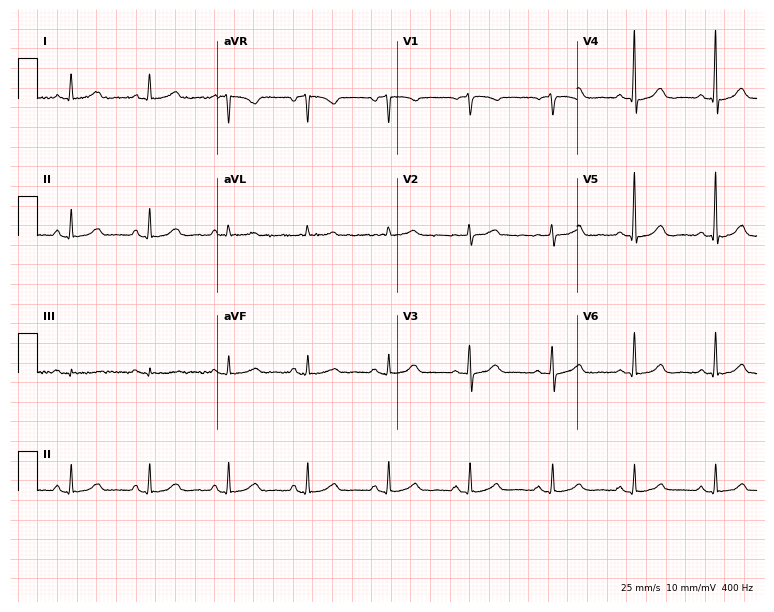
Standard 12-lead ECG recorded from a woman, 81 years old. Read as a normal ECG.